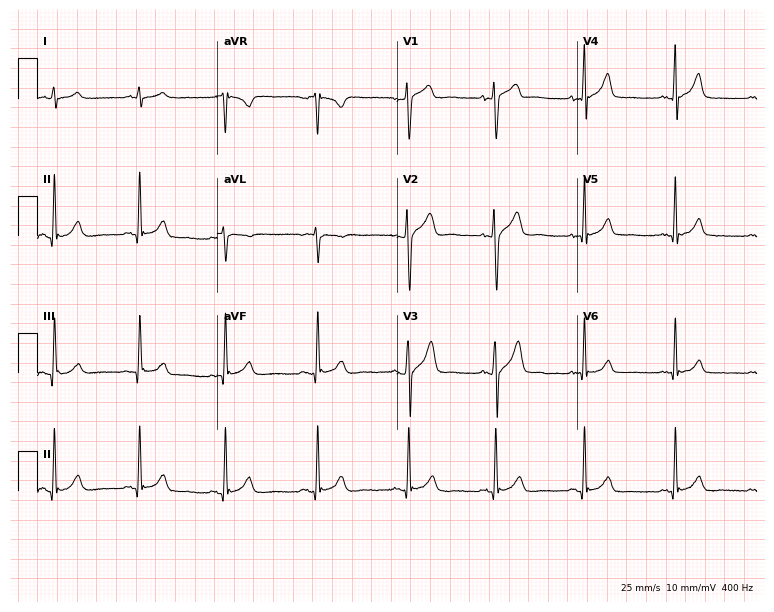
ECG (7.3-second recording at 400 Hz) — a 24-year-old male patient. Labelled as a normal ECG.